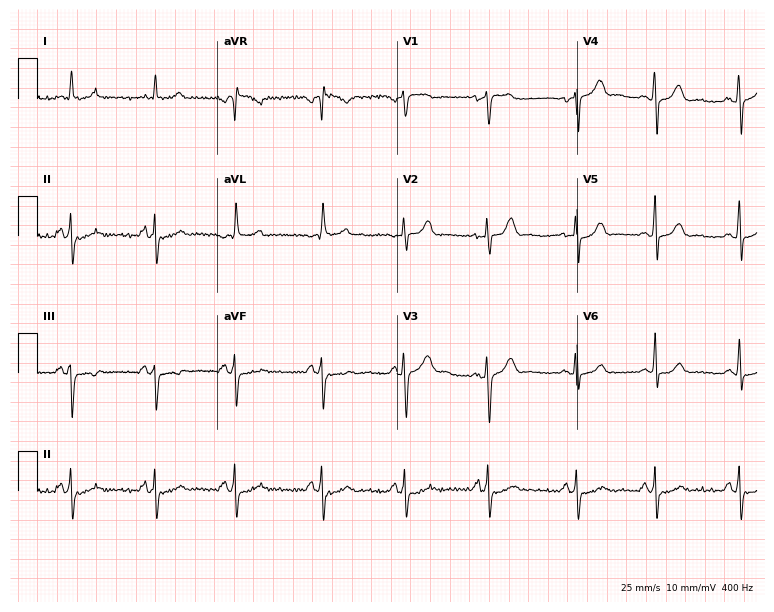
Standard 12-lead ECG recorded from a 45-year-old woman (7.3-second recording at 400 Hz). None of these six findings is recorded: first-degree AV block, right bundle branch block, left bundle branch block, sinus bradycardia, atrial fibrillation, sinus tachycardia. Only these six findings were labelled.